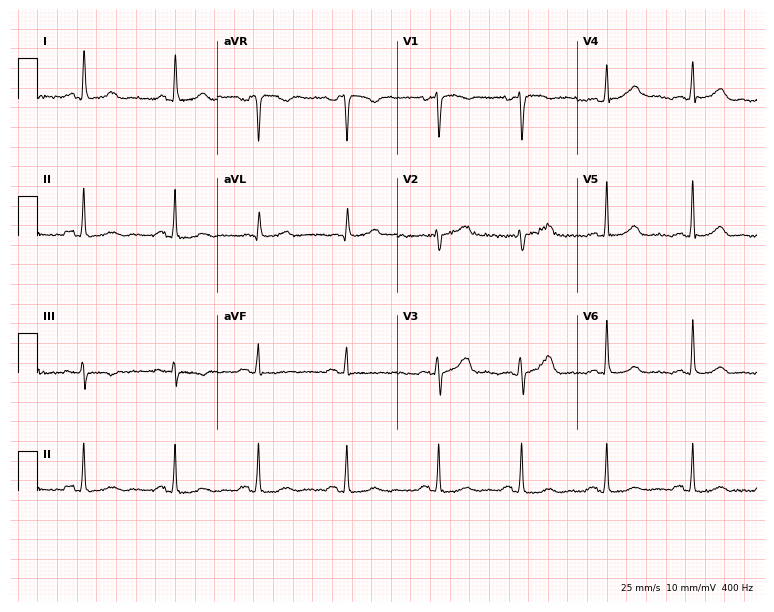
Resting 12-lead electrocardiogram (7.3-second recording at 400 Hz). Patient: a female, 53 years old. Read as a normal ECG.